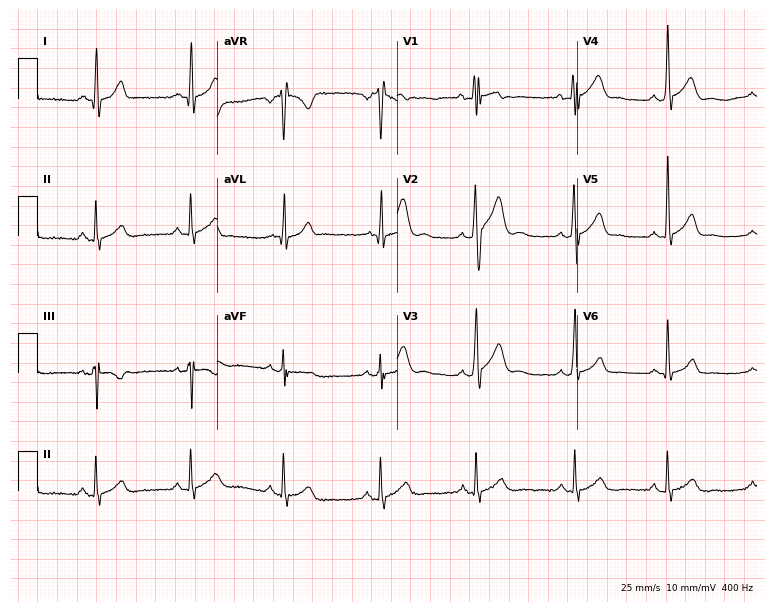
12-lead ECG from a 19-year-old male. Screened for six findings — first-degree AV block, right bundle branch block (RBBB), left bundle branch block (LBBB), sinus bradycardia, atrial fibrillation (AF), sinus tachycardia — none is recorded. Other findings, if any, are not listed.